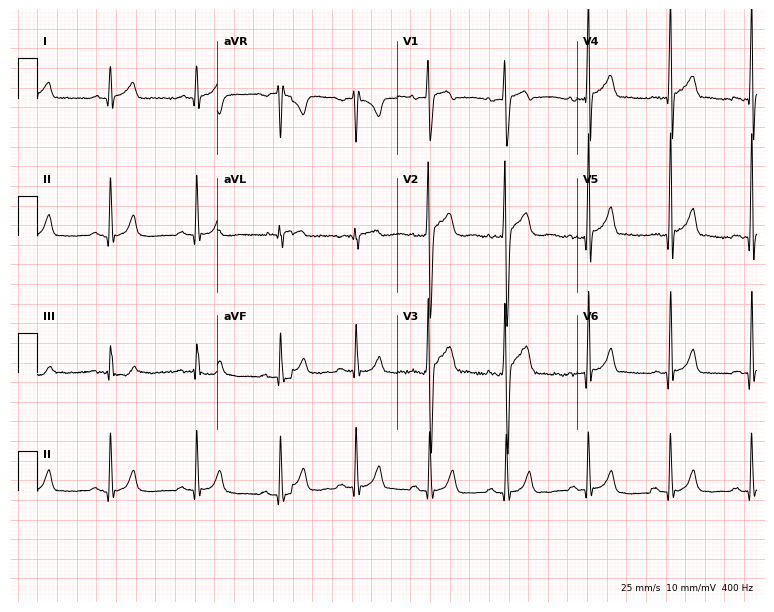
Standard 12-lead ECG recorded from a 25-year-old man. Read as a normal ECG.